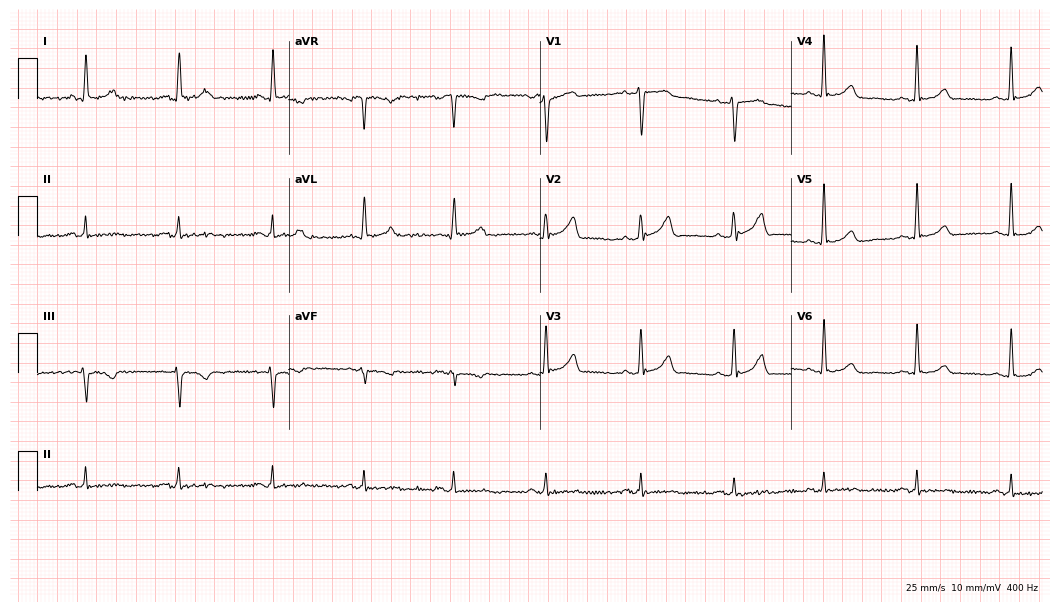
12-lead ECG from a 52-year-old female (10.2-second recording at 400 Hz). Recorded interpretation: within normal limits.